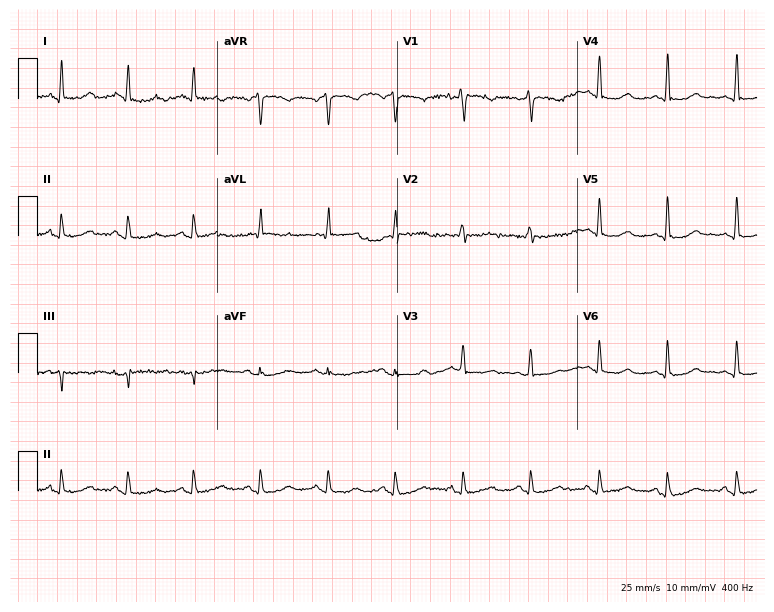
Resting 12-lead electrocardiogram (7.3-second recording at 400 Hz). Patient: a 67-year-old female. Read as a normal ECG.